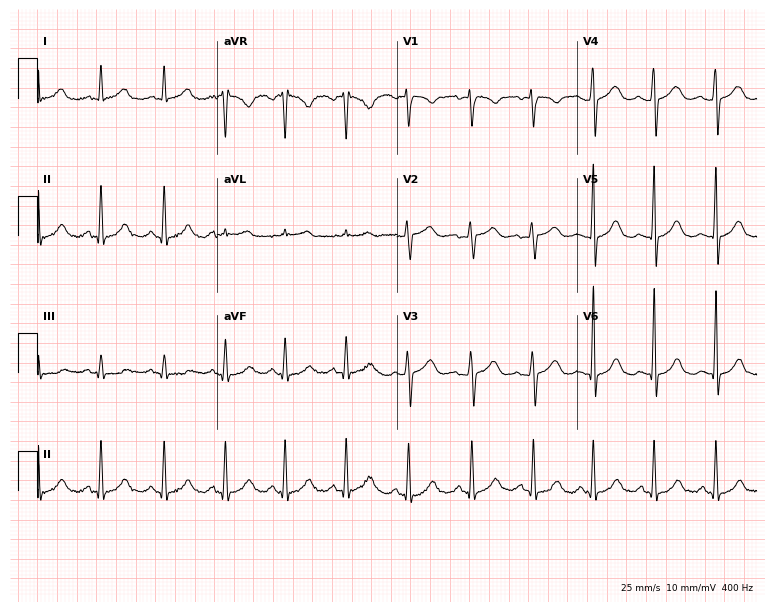
Resting 12-lead electrocardiogram. Patient: a 39-year-old female. Read as a normal ECG.